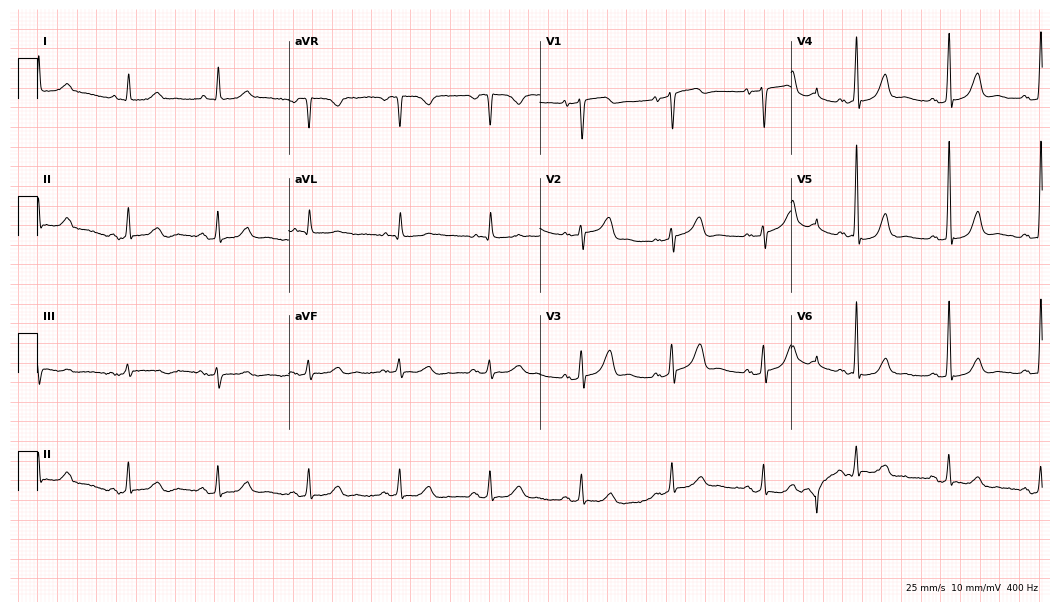
Electrocardiogram, a woman, 68 years old. Overall reading on record: normal ECG.